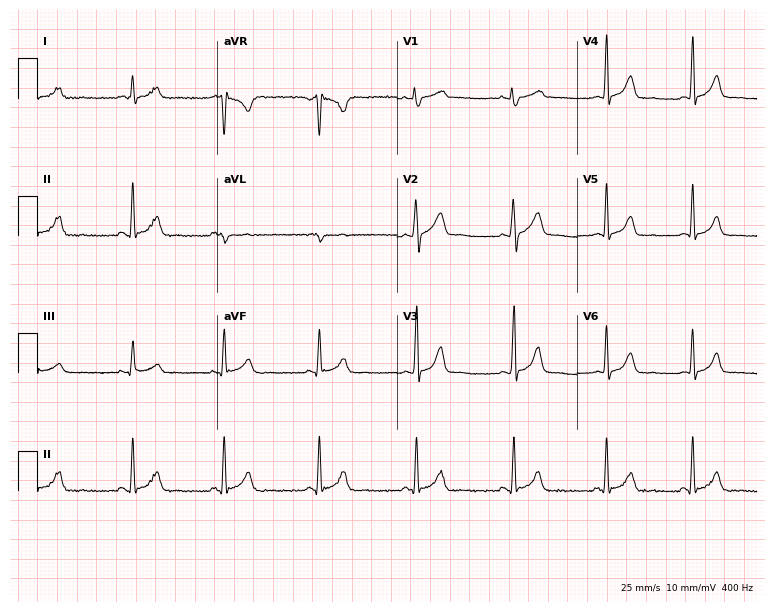
12-lead ECG from a 26-year-old female. Screened for six findings — first-degree AV block, right bundle branch block, left bundle branch block, sinus bradycardia, atrial fibrillation, sinus tachycardia — none is recorded. Other findings, if any, are not listed.